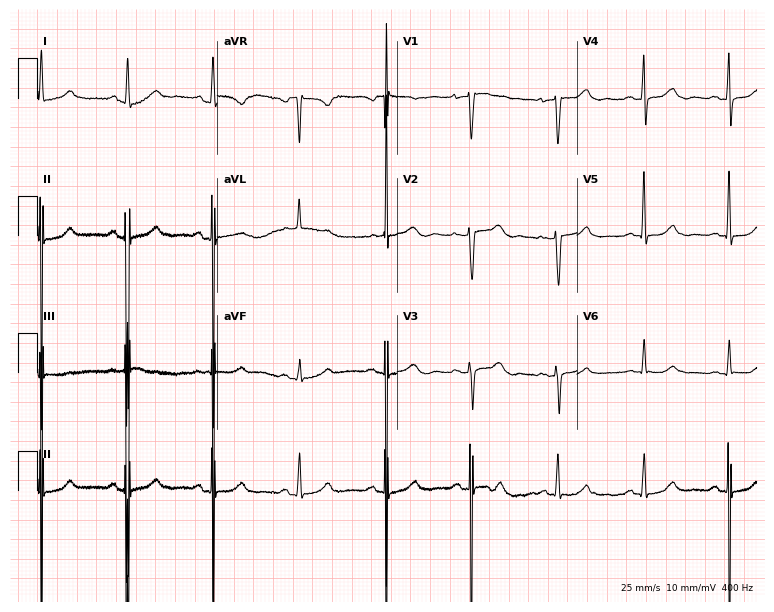
ECG — a woman, 81 years old. Screened for six findings — first-degree AV block, right bundle branch block (RBBB), left bundle branch block (LBBB), sinus bradycardia, atrial fibrillation (AF), sinus tachycardia — none is recorded. Findings outside these six are not listed.